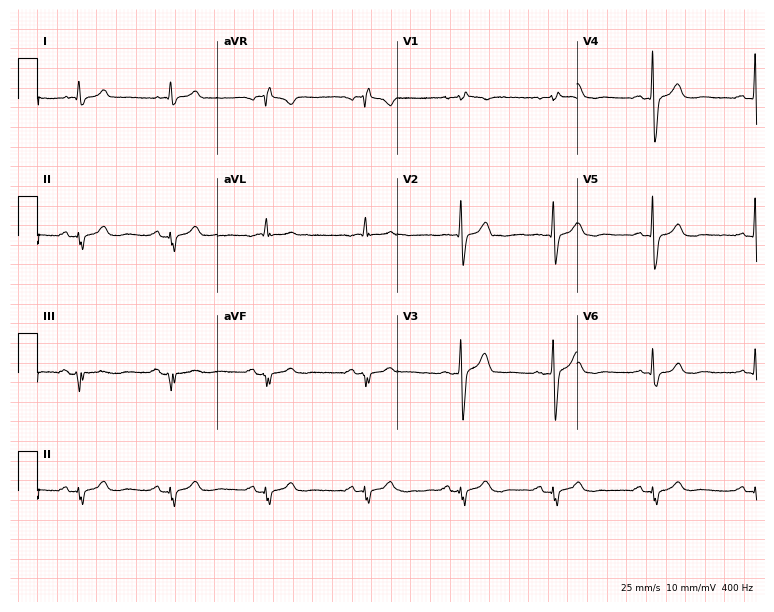
12-lead ECG from a female patient, 73 years old. No first-degree AV block, right bundle branch block, left bundle branch block, sinus bradycardia, atrial fibrillation or sinus tachycardia recorded for this tracing. Other findings, if any, are not listed.